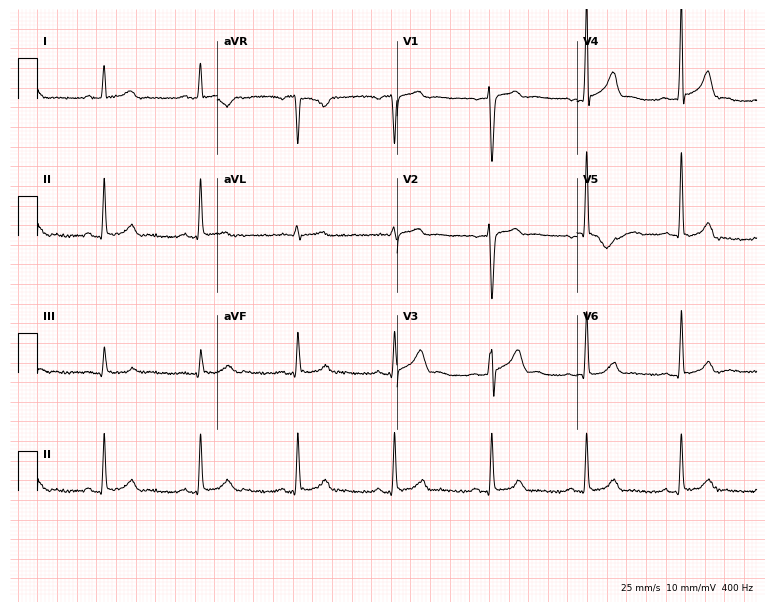
Standard 12-lead ECG recorded from a female, 52 years old. None of these six findings is recorded: first-degree AV block, right bundle branch block, left bundle branch block, sinus bradycardia, atrial fibrillation, sinus tachycardia. Findings outside these six are not listed.